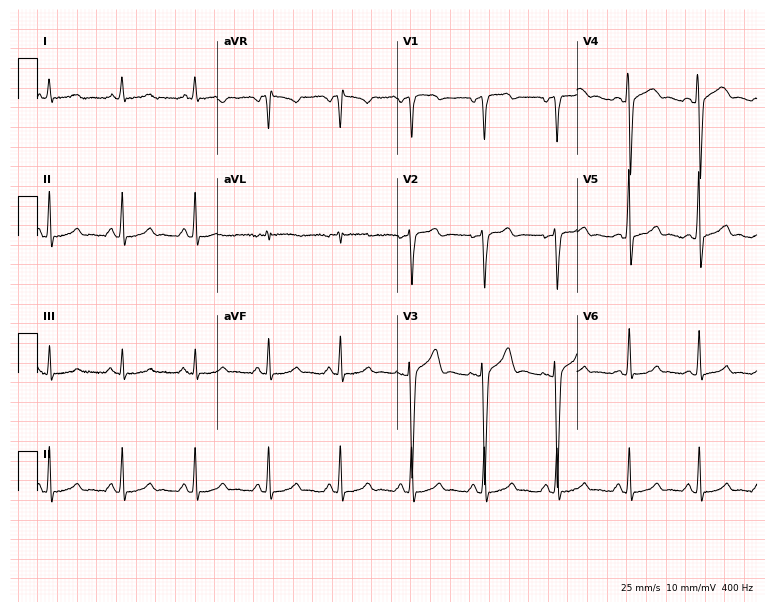
Electrocardiogram, a male patient, 39 years old. Of the six screened findings (first-degree AV block, right bundle branch block (RBBB), left bundle branch block (LBBB), sinus bradycardia, atrial fibrillation (AF), sinus tachycardia), none is recorded. Other findings, if any, are not listed.